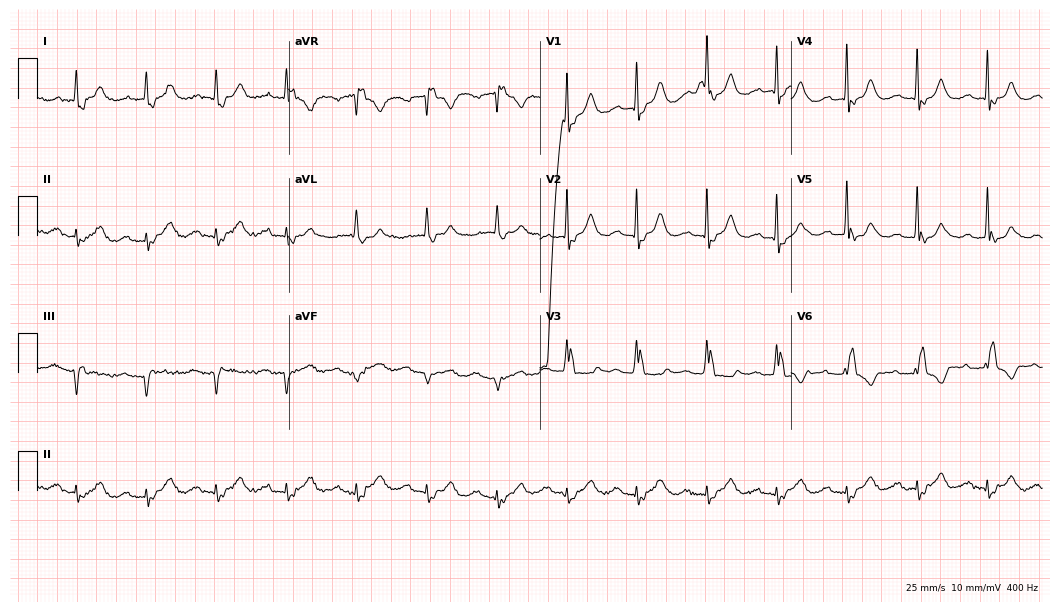
ECG (10.2-second recording at 400 Hz) — an 85-year-old female patient. Screened for six findings — first-degree AV block, right bundle branch block (RBBB), left bundle branch block (LBBB), sinus bradycardia, atrial fibrillation (AF), sinus tachycardia — none is recorded. Findings outside these six are not listed.